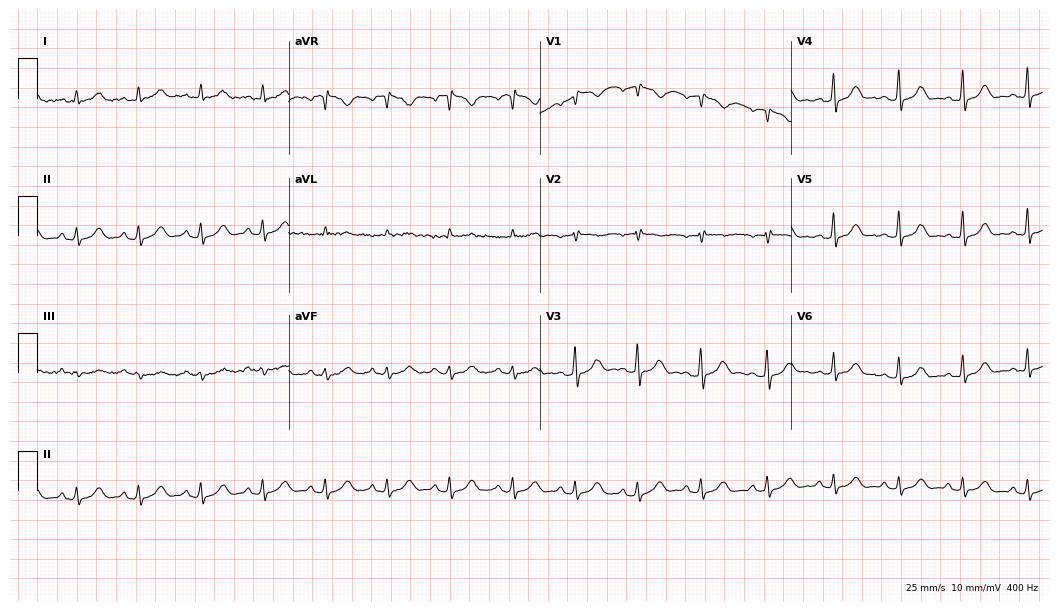
12-lead ECG from a female patient, 27 years old (10.2-second recording at 400 Hz). Recorded interpretation: within normal limits.